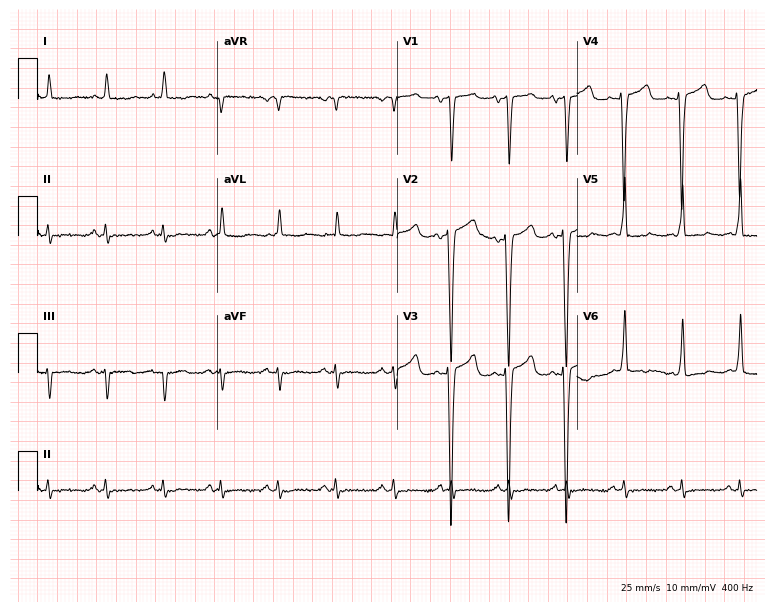
12-lead ECG from a 72-year-old man (7.3-second recording at 400 Hz). No first-degree AV block, right bundle branch block (RBBB), left bundle branch block (LBBB), sinus bradycardia, atrial fibrillation (AF) or sinus tachycardia recorded for this tracing. Other findings, if any, are not listed.